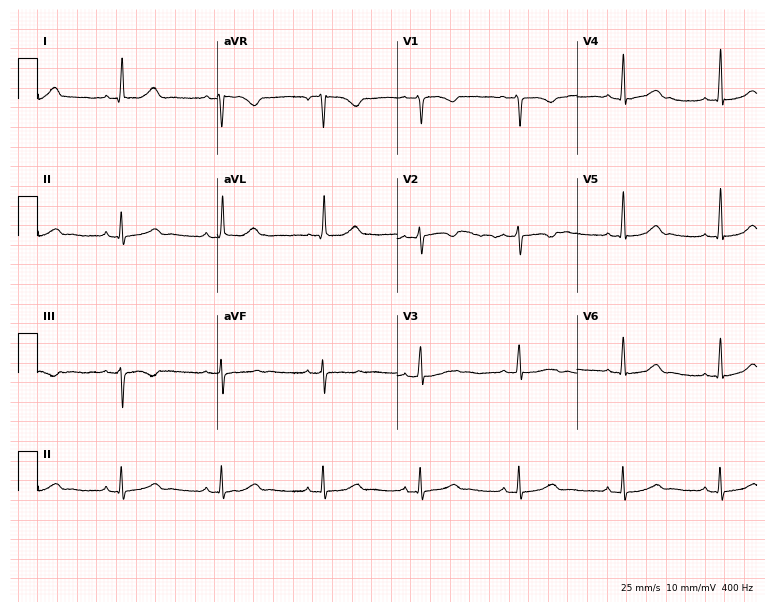
Standard 12-lead ECG recorded from a 38-year-old female patient (7.3-second recording at 400 Hz). Read as a normal ECG.